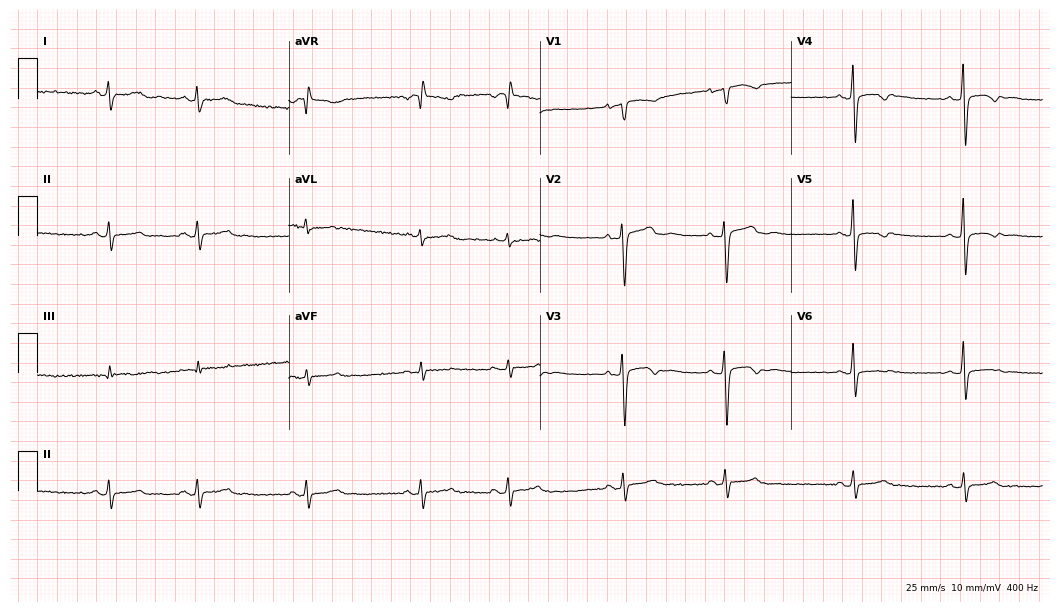
12-lead ECG from a female patient, 21 years old (10.2-second recording at 400 Hz). No first-degree AV block, right bundle branch block, left bundle branch block, sinus bradycardia, atrial fibrillation or sinus tachycardia recorded for this tracing. Findings outside these six are not listed.